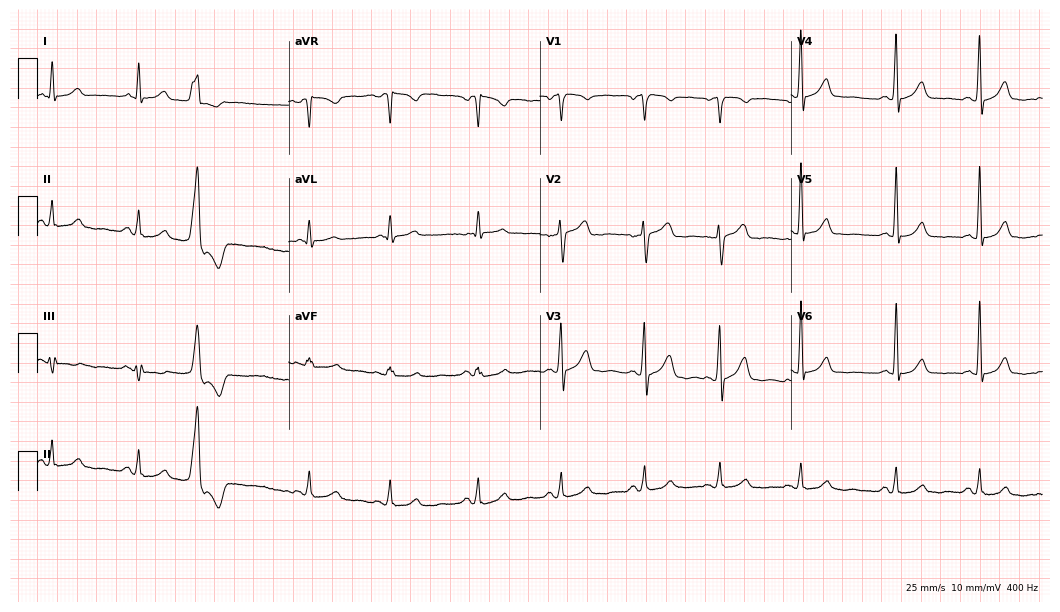
ECG — a 76-year-old male patient. Screened for six findings — first-degree AV block, right bundle branch block (RBBB), left bundle branch block (LBBB), sinus bradycardia, atrial fibrillation (AF), sinus tachycardia — none is recorded.